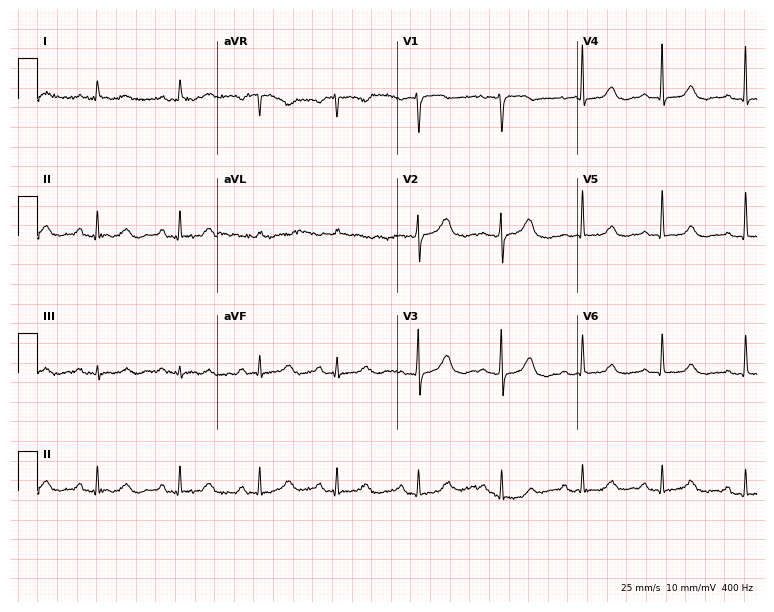
Resting 12-lead electrocardiogram (7.3-second recording at 400 Hz). Patient: a female, 77 years old. Read as a normal ECG.